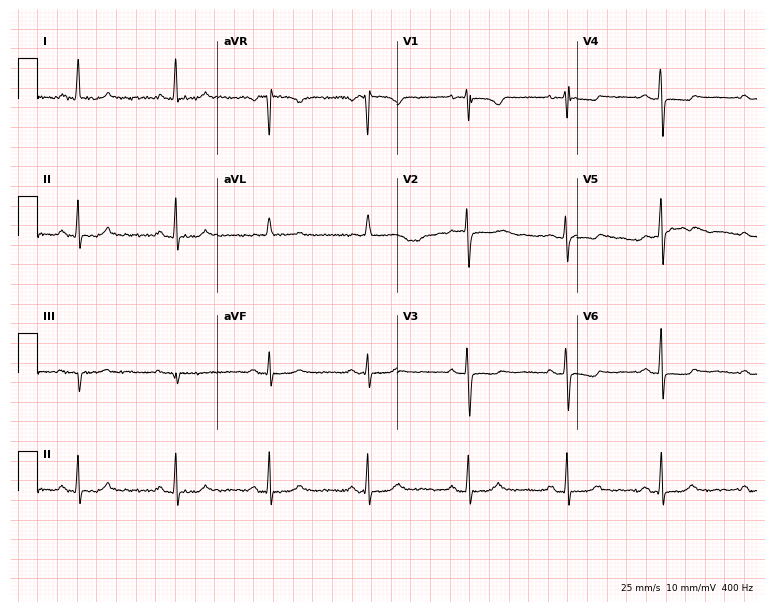
12-lead ECG from a 65-year-old female patient. Screened for six findings — first-degree AV block, right bundle branch block, left bundle branch block, sinus bradycardia, atrial fibrillation, sinus tachycardia — none is recorded.